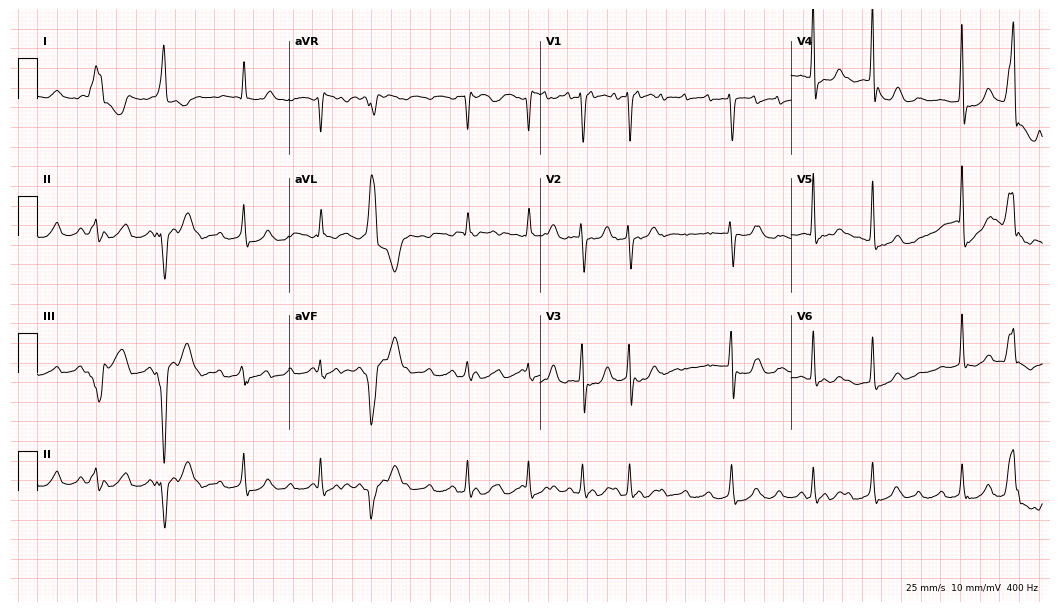
ECG — a 71-year-old female patient. Findings include atrial fibrillation.